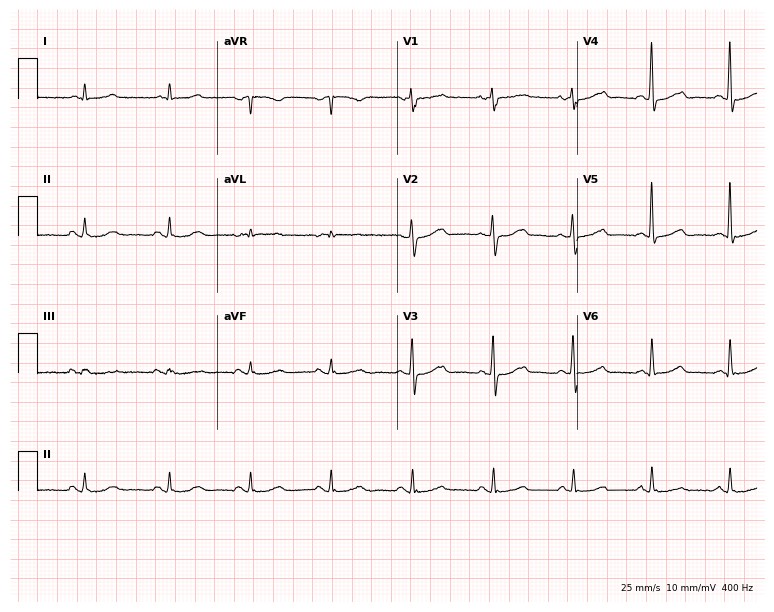
12-lead ECG from a male patient, 78 years old. No first-degree AV block, right bundle branch block (RBBB), left bundle branch block (LBBB), sinus bradycardia, atrial fibrillation (AF) or sinus tachycardia recorded for this tracing. Findings outside these six are not listed.